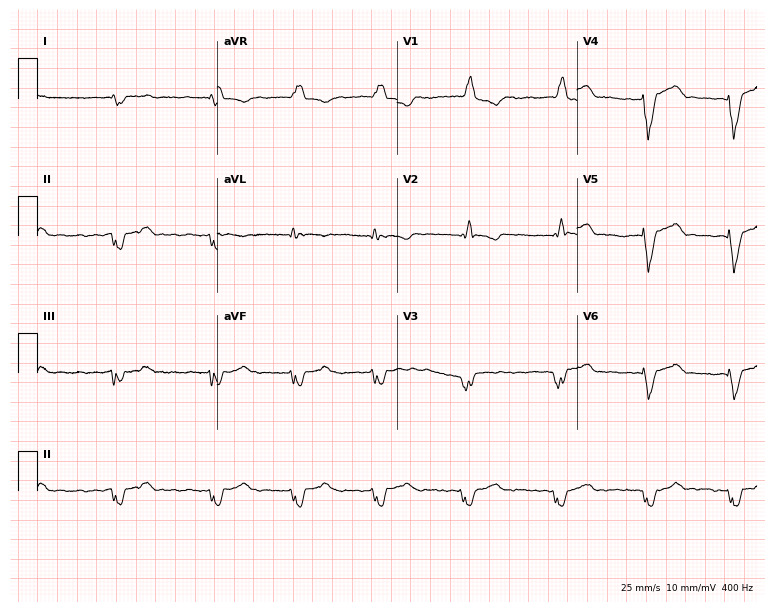
ECG — a male patient, 68 years old. Findings include right bundle branch block, atrial fibrillation.